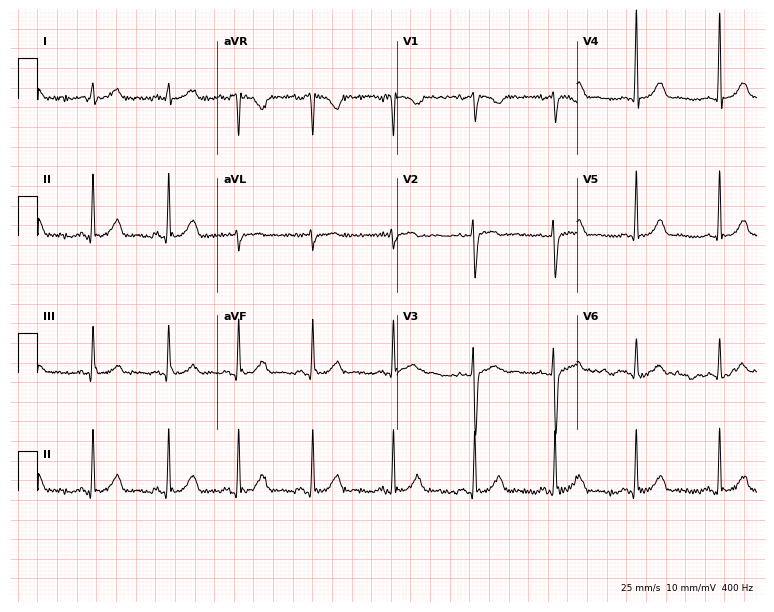
Resting 12-lead electrocardiogram. Patient: a 37-year-old female. None of these six findings is recorded: first-degree AV block, right bundle branch block, left bundle branch block, sinus bradycardia, atrial fibrillation, sinus tachycardia.